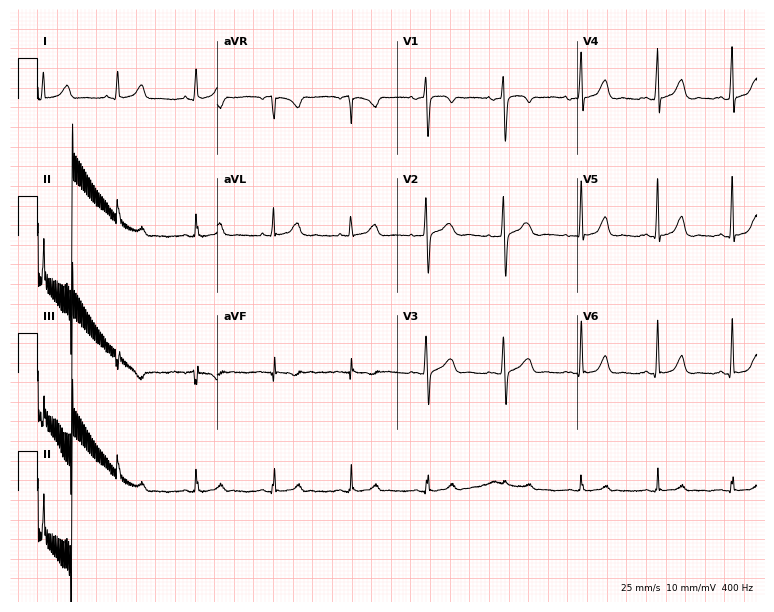
ECG — a 43-year-old woman. Screened for six findings — first-degree AV block, right bundle branch block (RBBB), left bundle branch block (LBBB), sinus bradycardia, atrial fibrillation (AF), sinus tachycardia — none is recorded. Only these six findings were labelled.